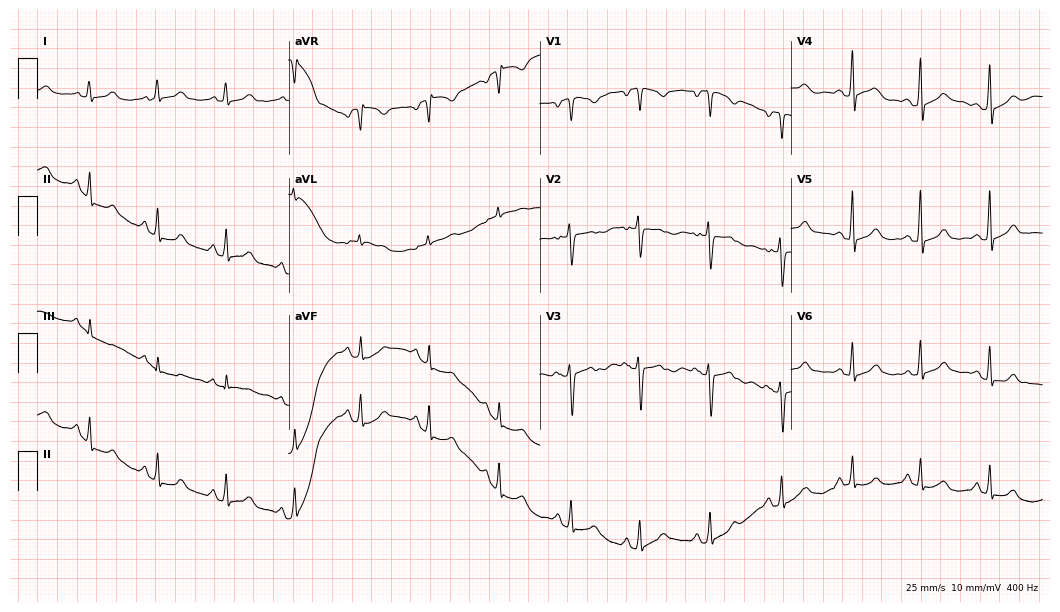
Standard 12-lead ECG recorded from a woman, 43 years old. Read as a normal ECG.